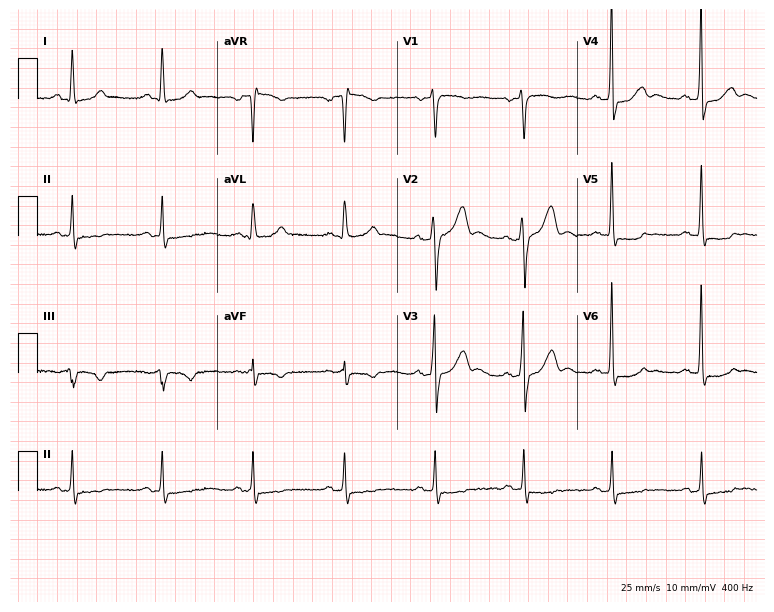
Standard 12-lead ECG recorded from a 50-year-old man. None of these six findings is recorded: first-degree AV block, right bundle branch block, left bundle branch block, sinus bradycardia, atrial fibrillation, sinus tachycardia.